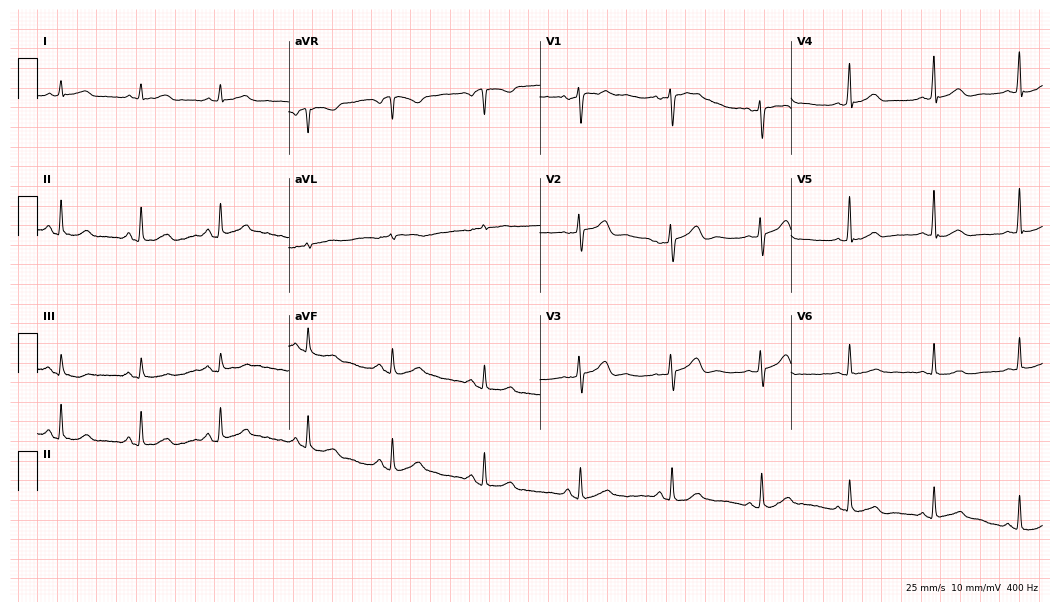
ECG (10.2-second recording at 400 Hz) — a woman, 39 years old. Labelled as a normal ECG.